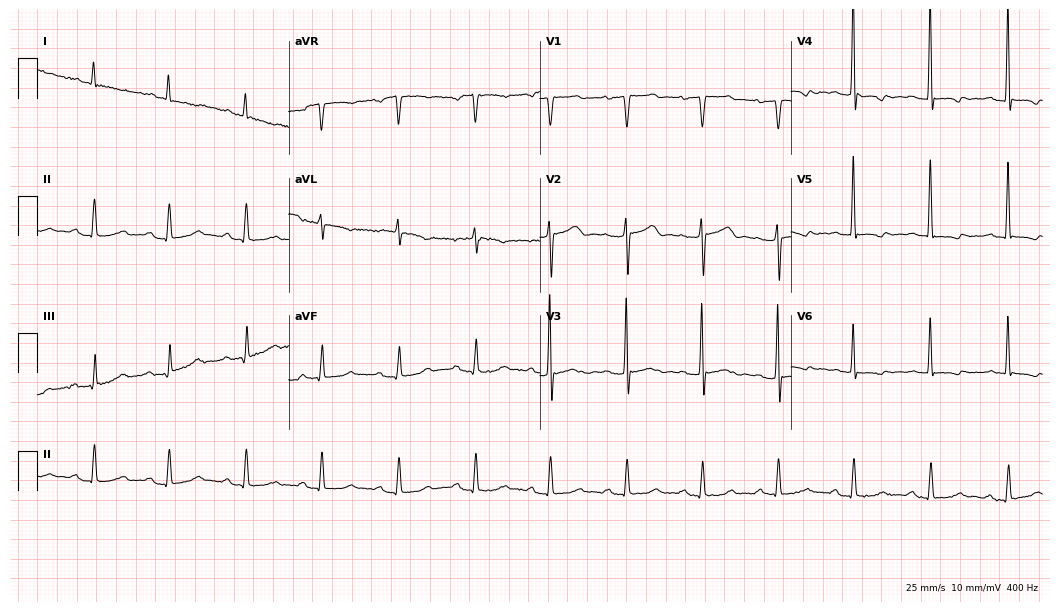
Standard 12-lead ECG recorded from a female, 78 years old. None of these six findings is recorded: first-degree AV block, right bundle branch block, left bundle branch block, sinus bradycardia, atrial fibrillation, sinus tachycardia. Other findings, if any, are not listed.